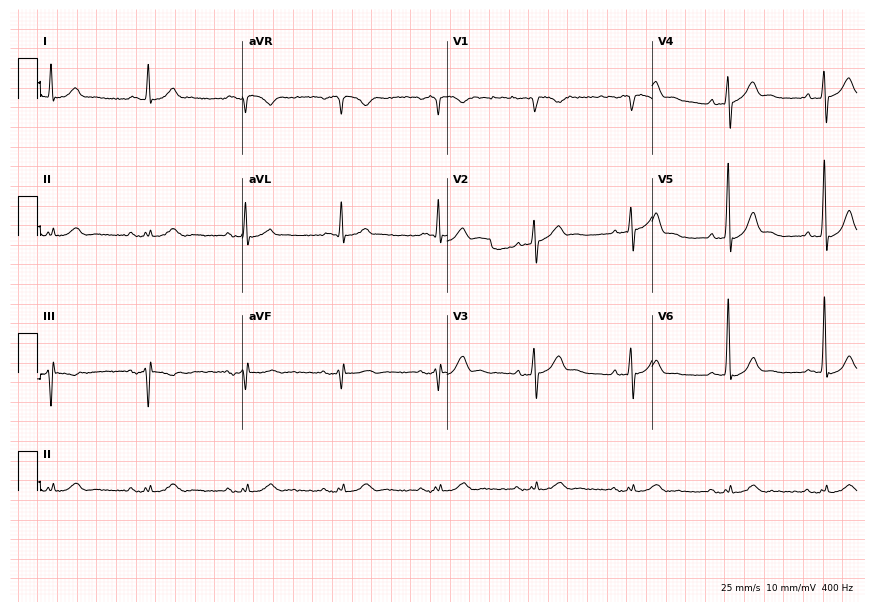
Standard 12-lead ECG recorded from a 61-year-old male (8.4-second recording at 400 Hz). Read as a normal ECG.